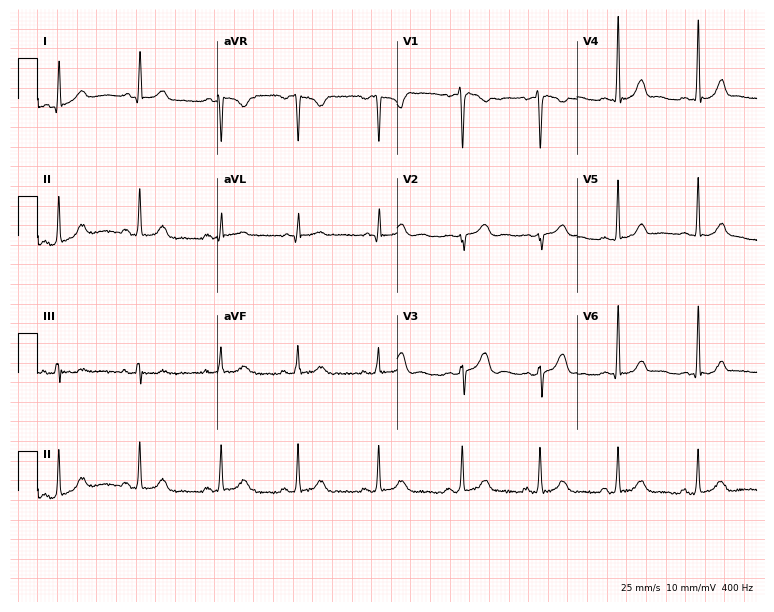
ECG (7.3-second recording at 400 Hz) — a woman, 24 years old. Labelled as a normal ECG.